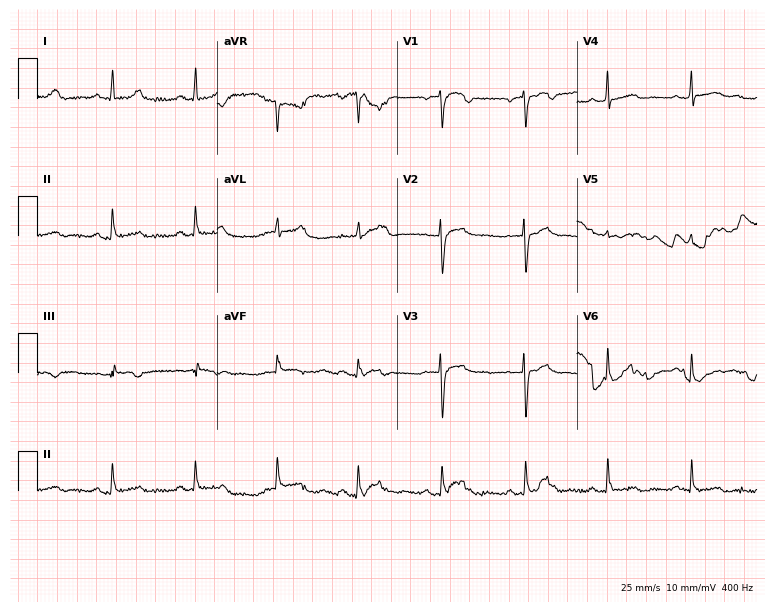
Electrocardiogram, a female patient, 65 years old. Of the six screened findings (first-degree AV block, right bundle branch block (RBBB), left bundle branch block (LBBB), sinus bradycardia, atrial fibrillation (AF), sinus tachycardia), none is recorded.